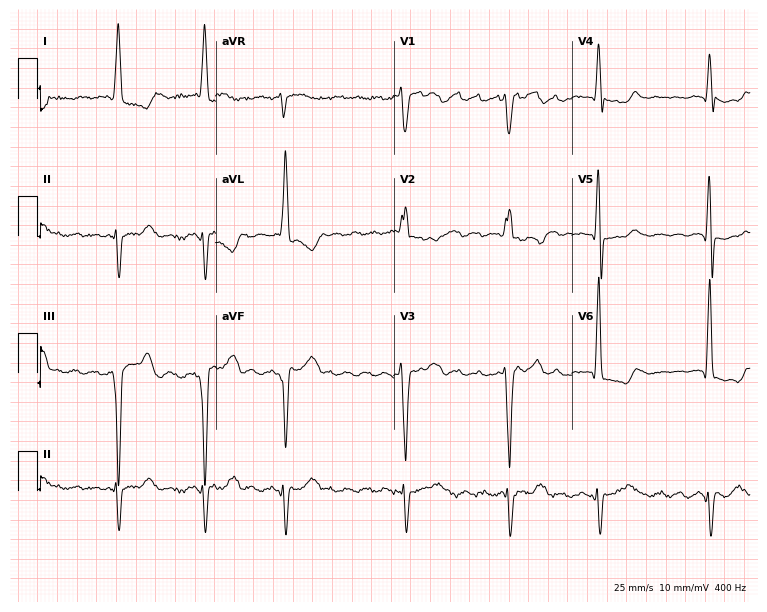
ECG — a woman, 69 years old. Screened for six findings — first-degree AV block, right bundle branch block, left bundle branch block, sinus bradycardia, atrial fibrillation, sinus tachycardia — none is recorded.